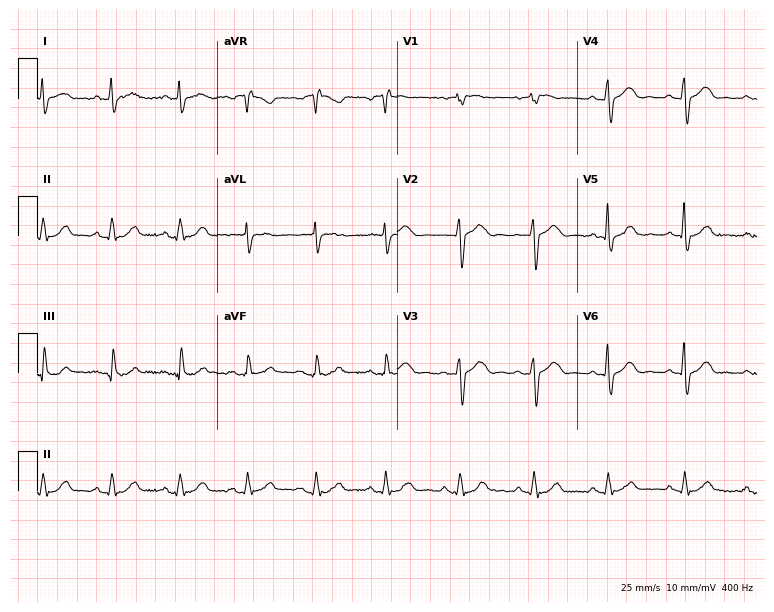
12-lead ECG from a male patient, 59 years old. Recorded interpretation: within normal limits.